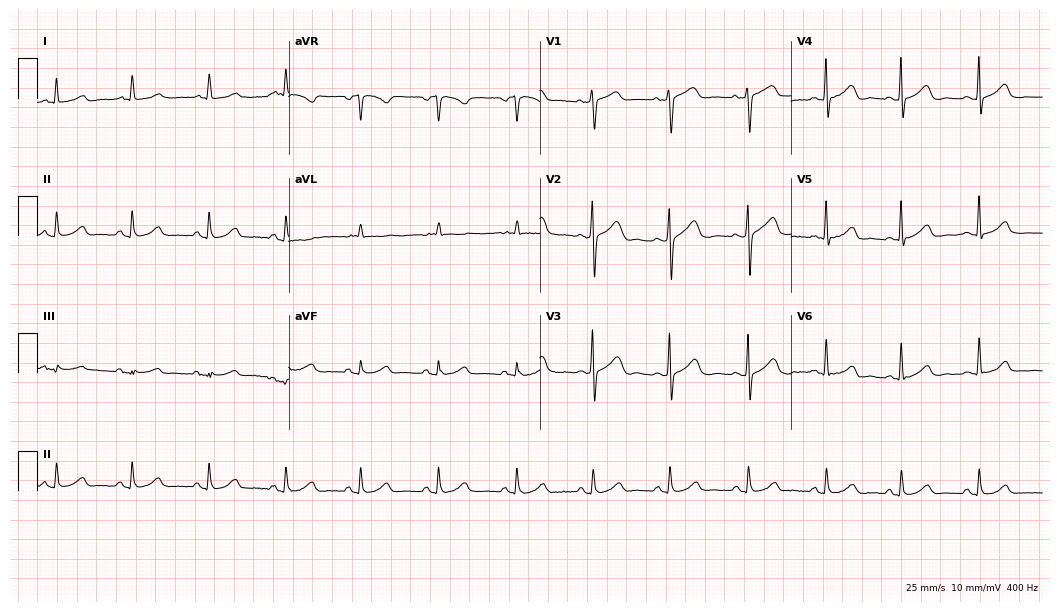
ECG (10.2-second recording at 400 Hz) — a woman, 60 years old. Labelled as a normal ECG.